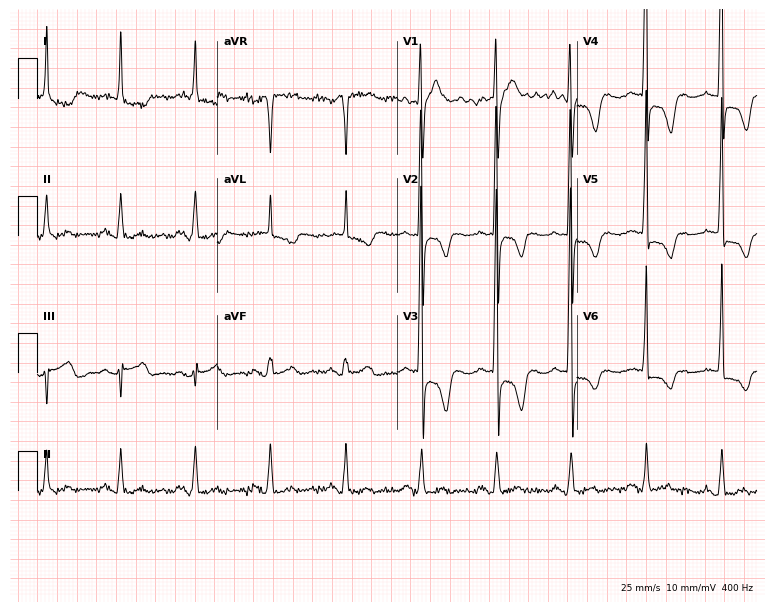
12-lead ECG from an 82-year-old man. Screened for six findings — first-degree AV block, right bundle branch block, left bundle branch block, sinus bradycardia, atrial fibrillation, sinus tachycardia — none is recorded. Other findings, if any, are not listed.